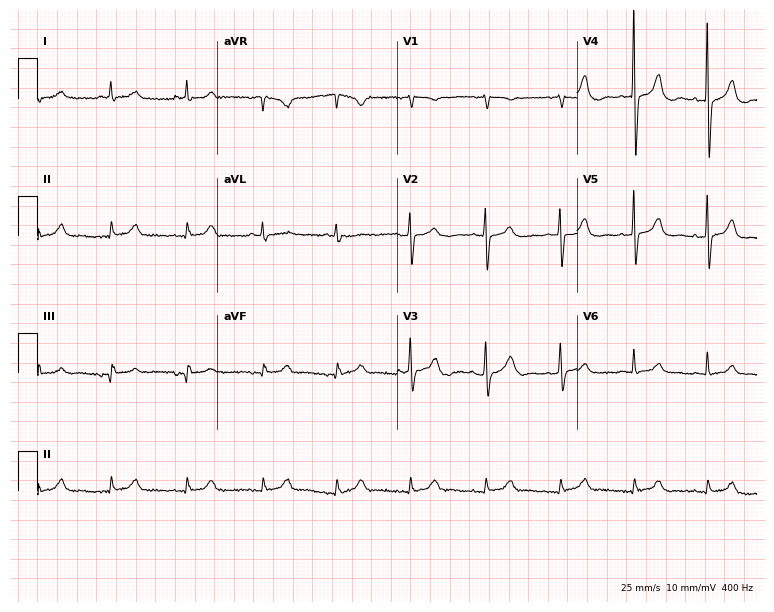
Electrocardiogram (7.3-second recording at 400 Hz), a woman, 79 years old. Of the six screened findings (first-degree AV block, right bundle branch block, left bundle branch block, sinus bradycardia, atrial fibrillation, sinus tachycardia), none is recorded.